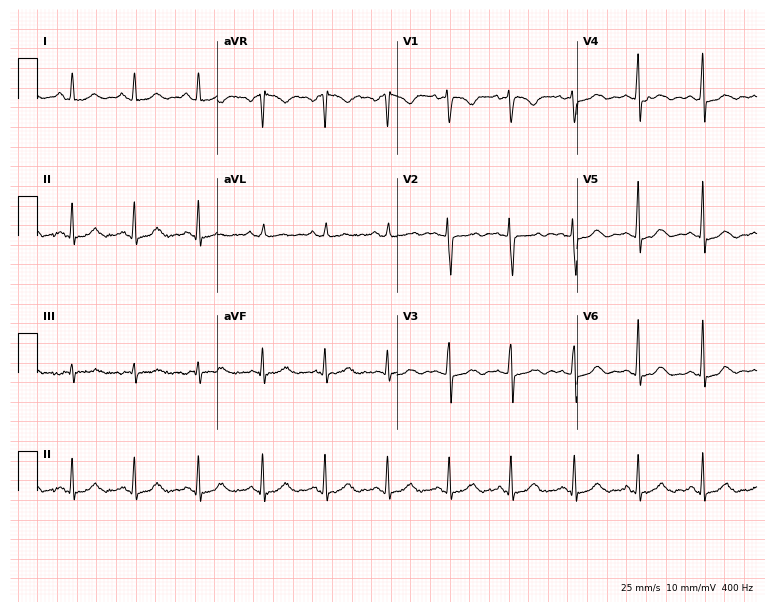
ECG — a 32-year-old man. Labelled as a normal ECG.